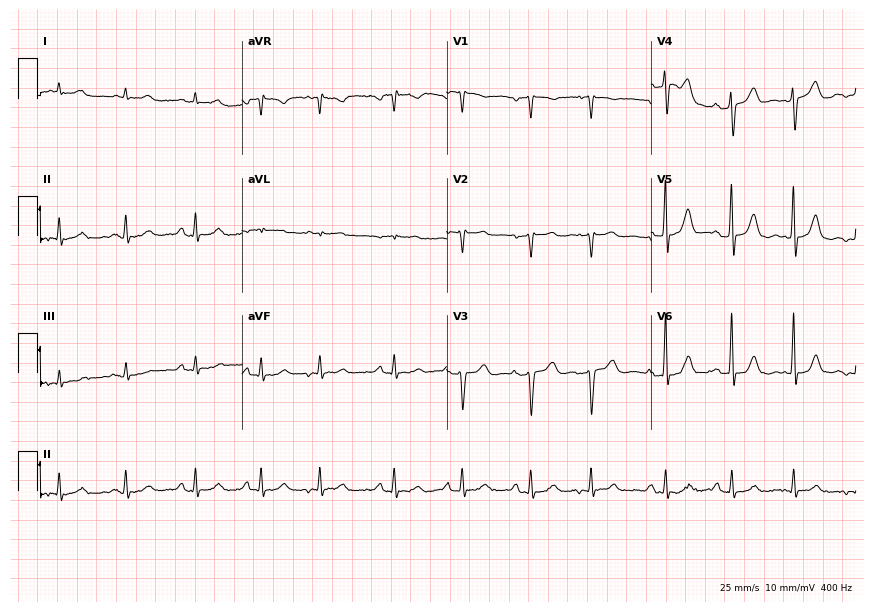
12-lead ECG (8.3-second recording at 400 Hz) from a 60-year-old male patient. Screened for six findings — first-degree AV block, right bundle branch block, left bundle branch block, sinus bradycardia, atrial fibrillation, sinus tachycardia — none is recorded.